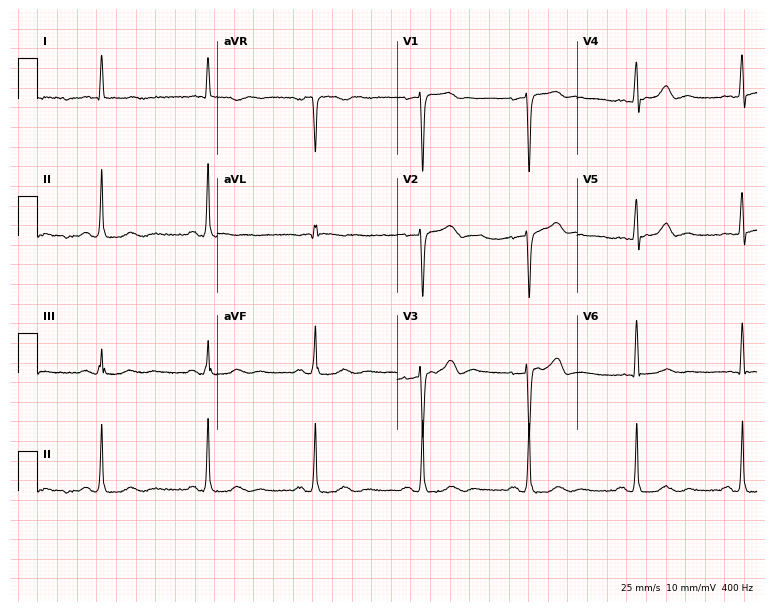
Resting 12-lead electrocardiogram (7.3-second recording at 400 Hz). Patient: a 67-year-old man. None of these six findings is recorded: first-degree AV block, right bundle branch block, left bundle branch block, sinus bradycardia, atrial fibrillation, sinus tachycardia. Findings outside these six are not listed.